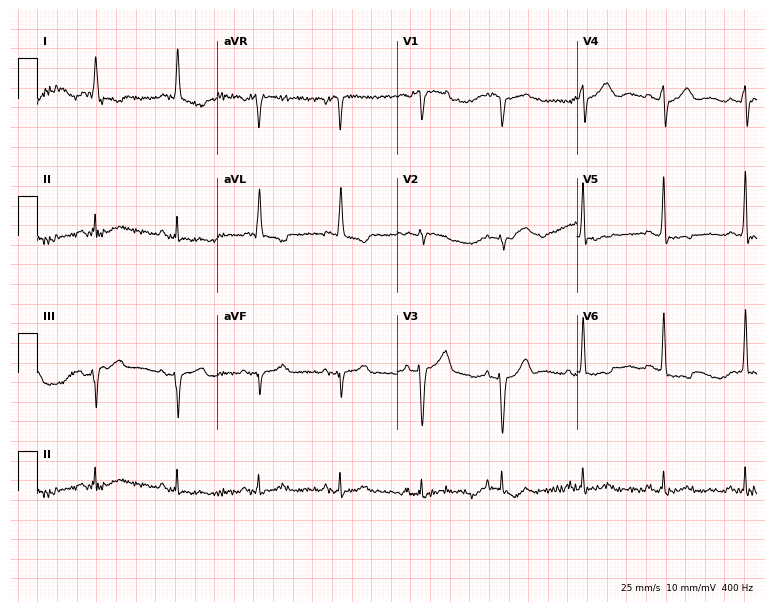
12-lead ECG (7.3-second recording at 400 Hz) from a 79-year-old woman. Screened for six findings — first-degree AV block, right bundle branch block (RBBB), left bundle branch block (LBBB), sinus bradycardia, atrial fibrillation (AF), sinus tachycardia — none is recorded.